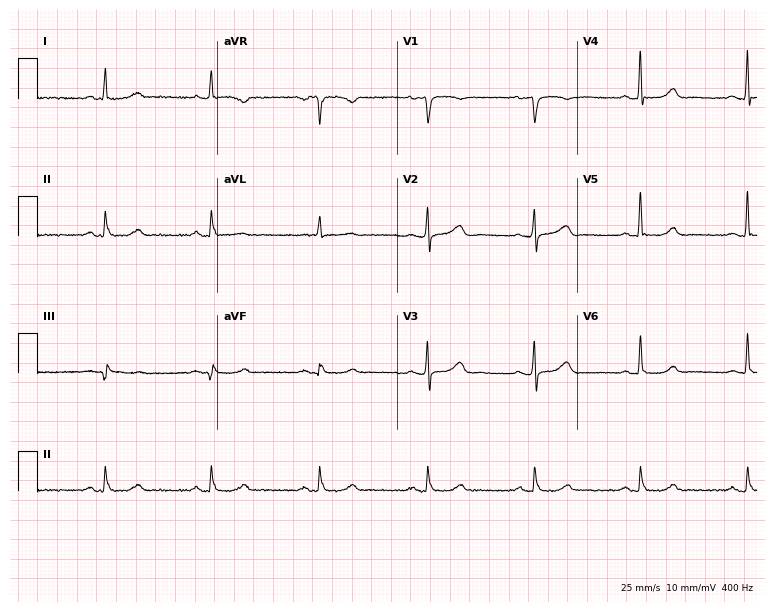
12-lead ECG from a 67-year-old woman. No first-degree AV block, right bundle branch block (RBBB), left bundle branch block (LBBB), sinus bradycardia, atrial fibrillation (AF) or sinus tachycardia recorded for this tracing. Other findings, if any, are not listed.